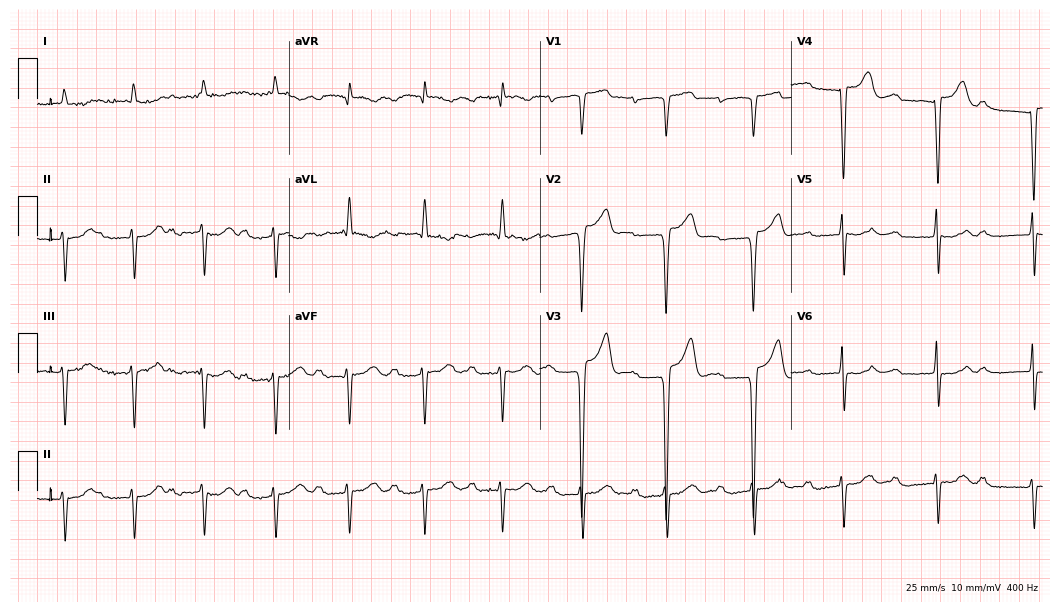
ECG — a male patient, 74 years old. Screened for six findings — first-degree AV block, right bundle branch block (RBBB), left bundle branch block (LBBB), sinus bradycardia, atrial fibrillation (AF), sinus tachycardia — none is recorded.